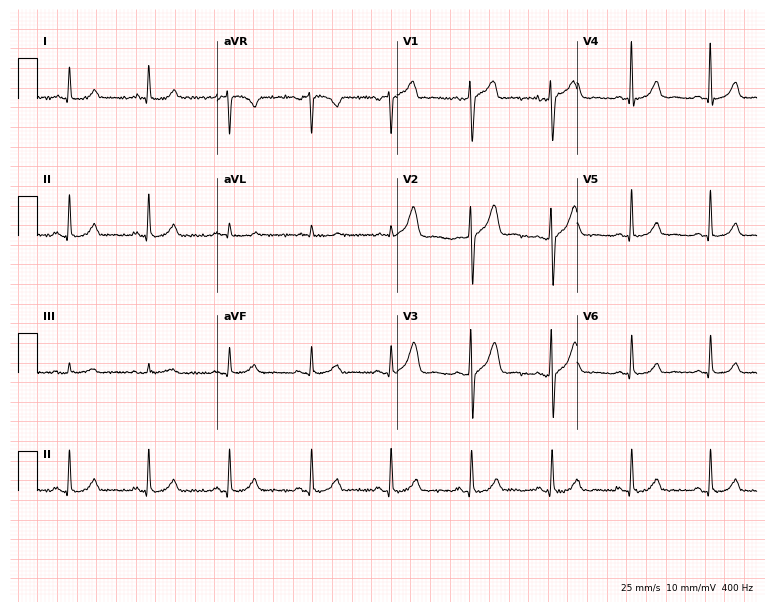
12-lead ECG from a female patient, 61 years old. Labelled as a normal ECG.